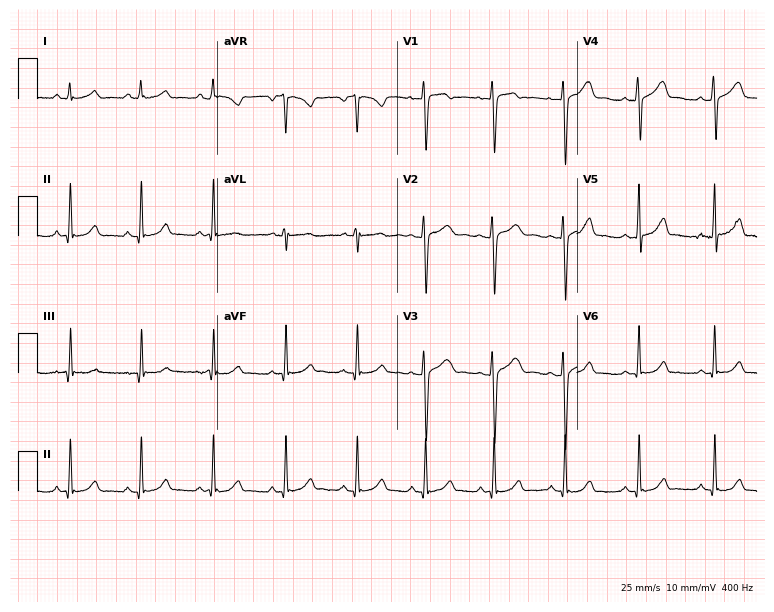
ECG (7.3-second recording at 400 Hz) — a female patient, 26 years old. Labelled as a normal ECG.